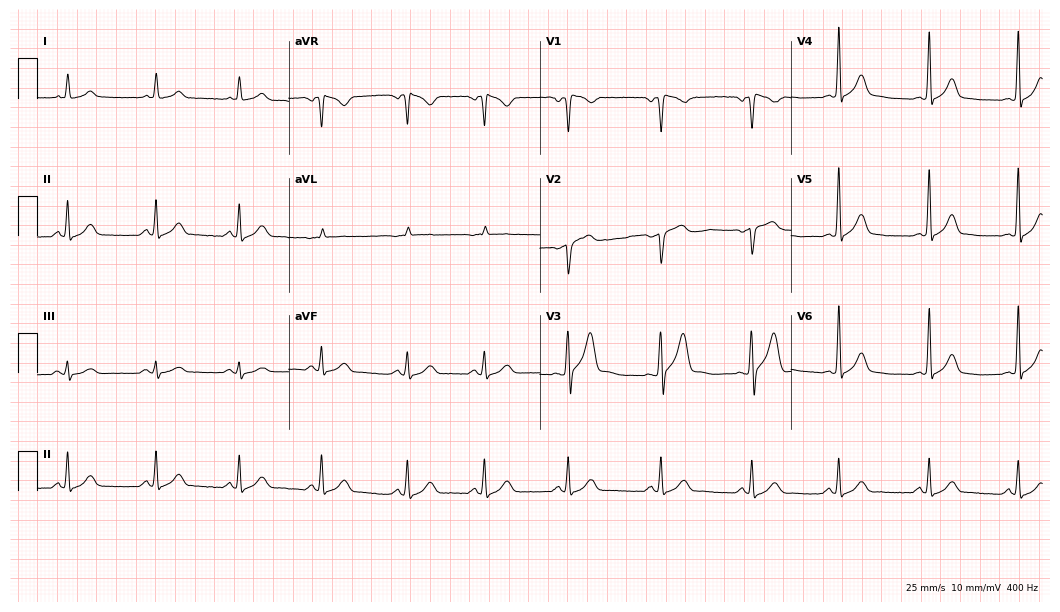
Resting 12-lead electrocardiogram (10.2-second recording at 400 Hz). Patient: a male, 26 years old. Read as a normal ECG.